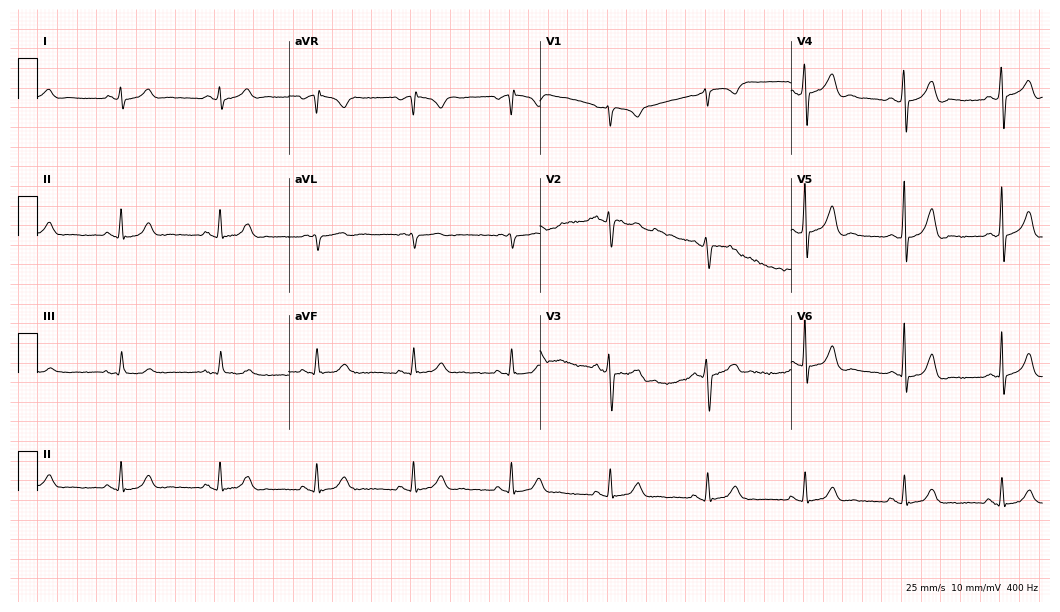
Electrocardiogram, a 46-year-old male. Overall reading on record: normal ECG.